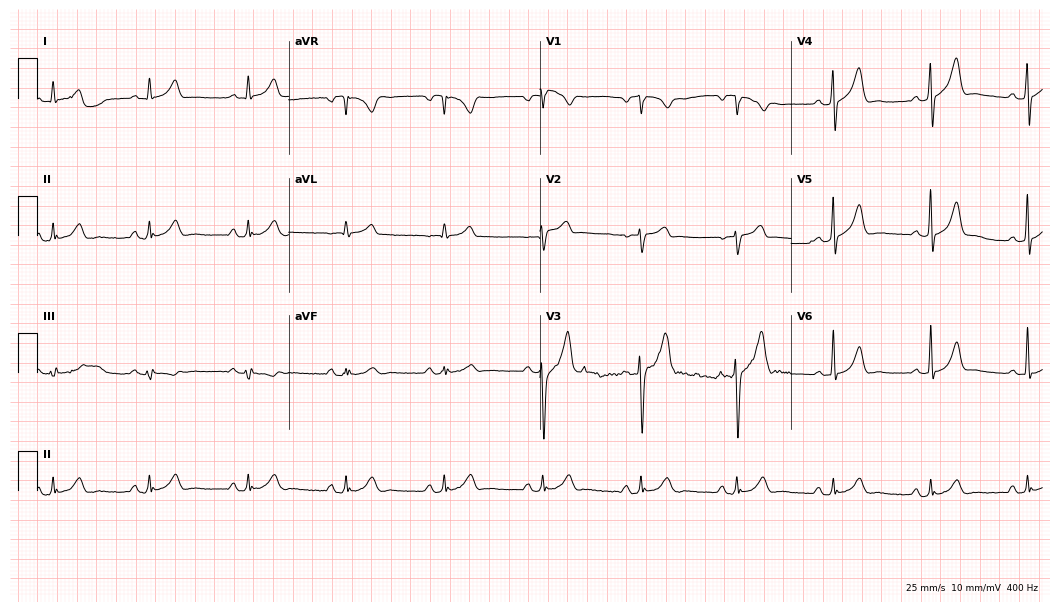
Resting 12-lead electrocardiogram (10.2-second recording at 400 Hz). Patient: a 60-year-old man. Read as a normal ECG.